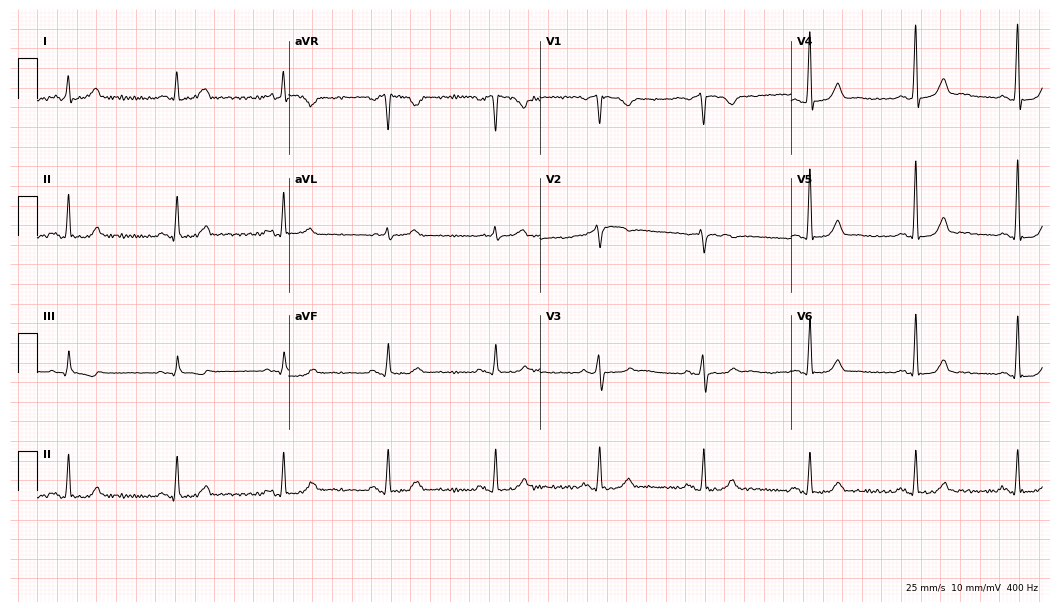
12-lead ECG from a 68-year-old male. Recorded interpretation: within normal limits.